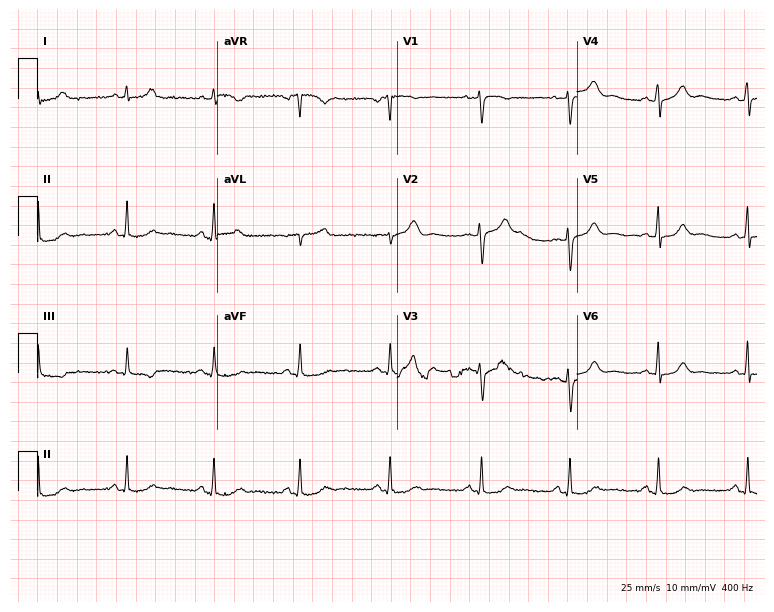
Resting 12-lead electrocardiogram (7.3-second recording at 400 Hz). Patient: a 49-year-old female. None of these six findings is recorded: first-degree AV block, right bundle branch block (RBBB), left bundle branch block (LBBB), sinus bradycardia, atrial fibrillation (AF), sinus tachycardia. Only these six findings were labelled.